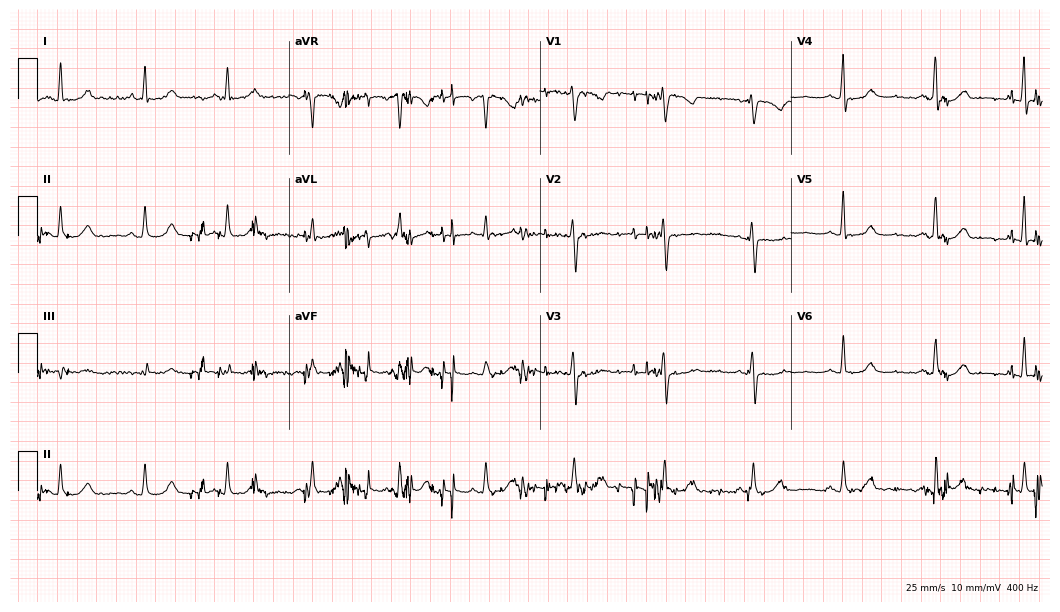
Standard 12-lead ECG recorded from a 54-year-old female patient. Read as a normal ECG.